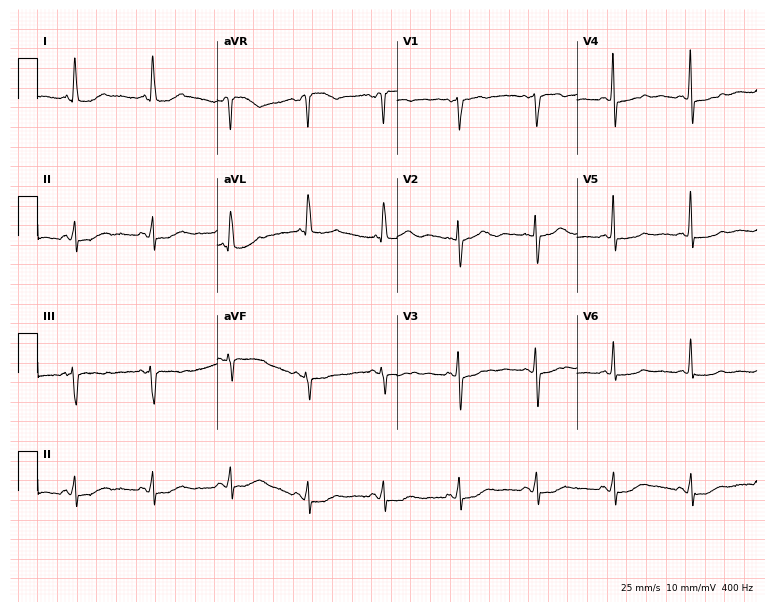
ECG — a female patient, 73 years old. Screened for six findings — first-degree AV block, right bundle branch block, left bundle branch block, sinus bradycardia, atrial fibrillation, sinus tachycardia — none is recorded. Only these six findings were labelled.